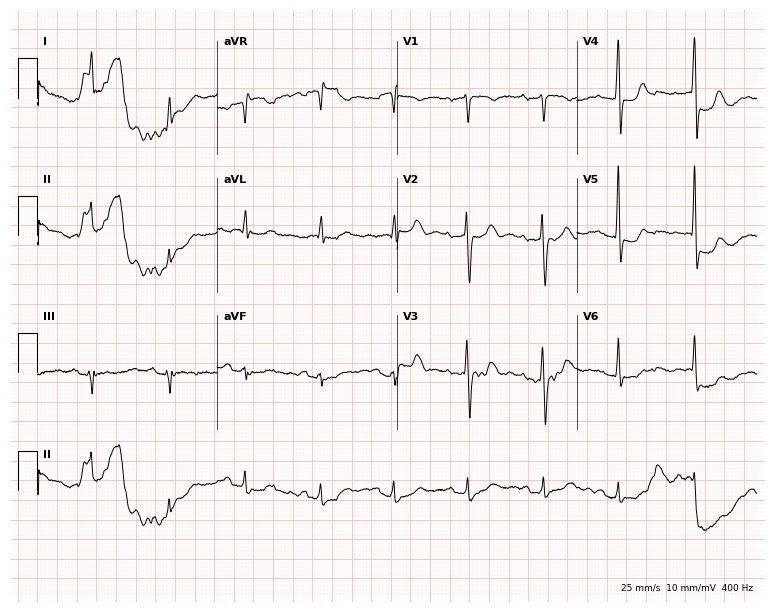
12-lead ECG from a female patient, 68 years old. Recorded interpretation: within normal limits.